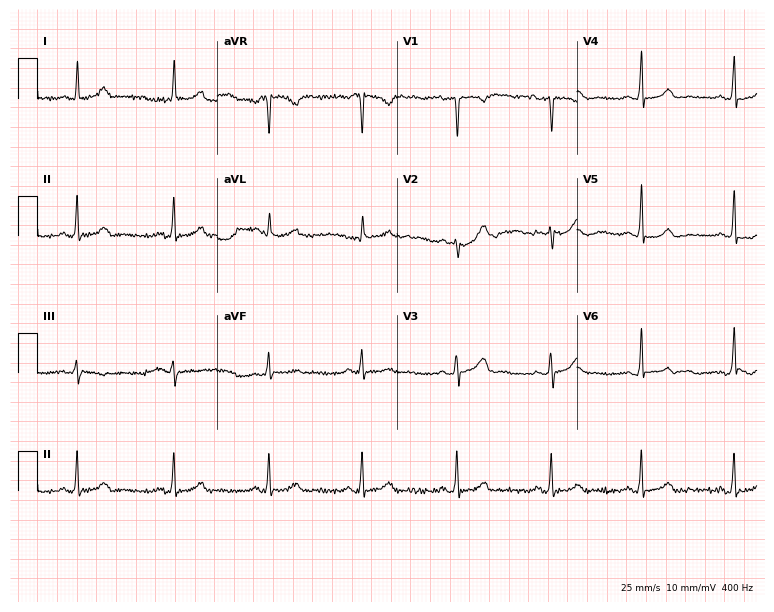
Electrocardiogram (7.3-second recording at 400 Hz), a woman, 40 years old. Overall reading on record: normal ECG.